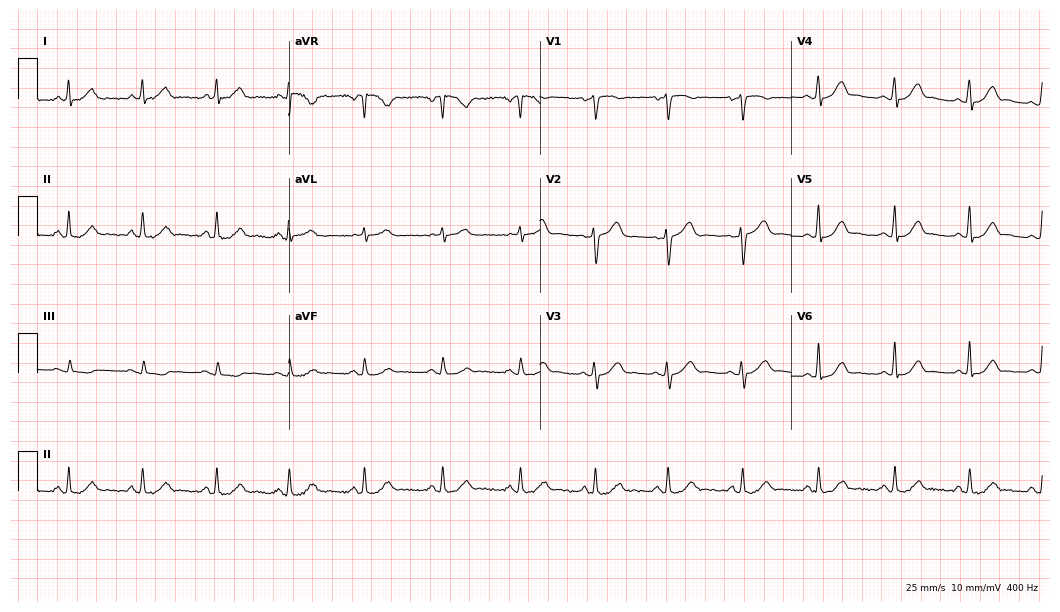
12-lead ECG from a 45-year-old woman (10.2-second recording at 400 Hz). No first-degree AV block, right bundle branch block, left bundle branch block, sinus bradycardia, atrial fibrillation or sinus tachycardia recorded for this tracing.